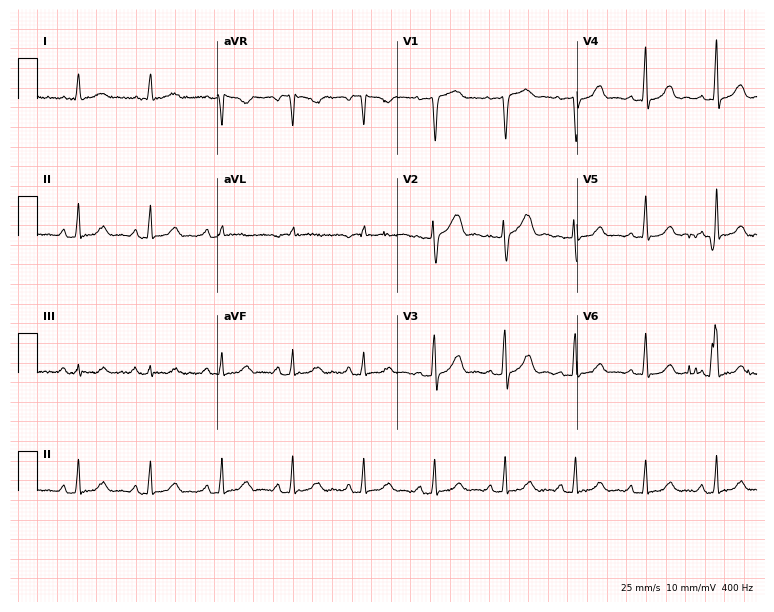
12-lead ECG from a 62-year-old woman. No first-degree AV block, right bundle branch block, left bundle branch block, sinus bradycardia, atrial fibrillation or sinus tachycardia recorded for this tracing. Findings outside these six are not listed.